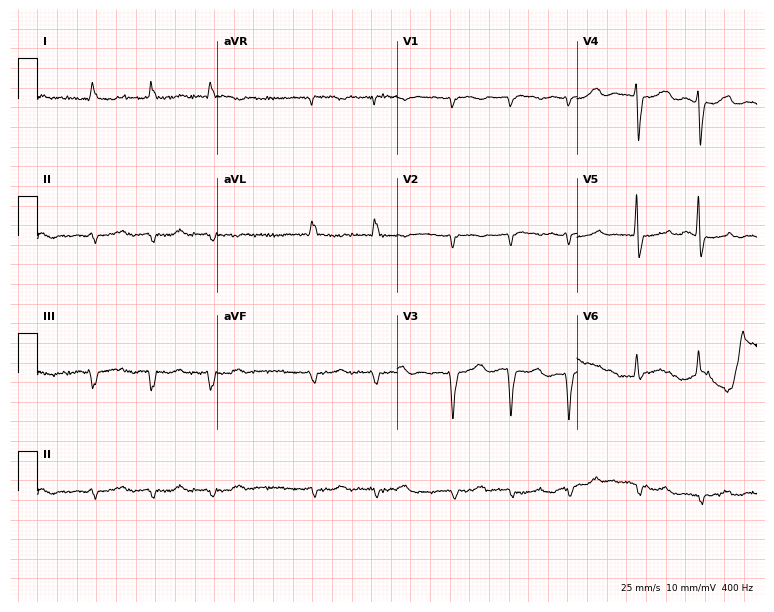
ECG (7.3-second recording at 400 Hz) — a 78-year-old woman. Findings include atrial fibrillation (AF).